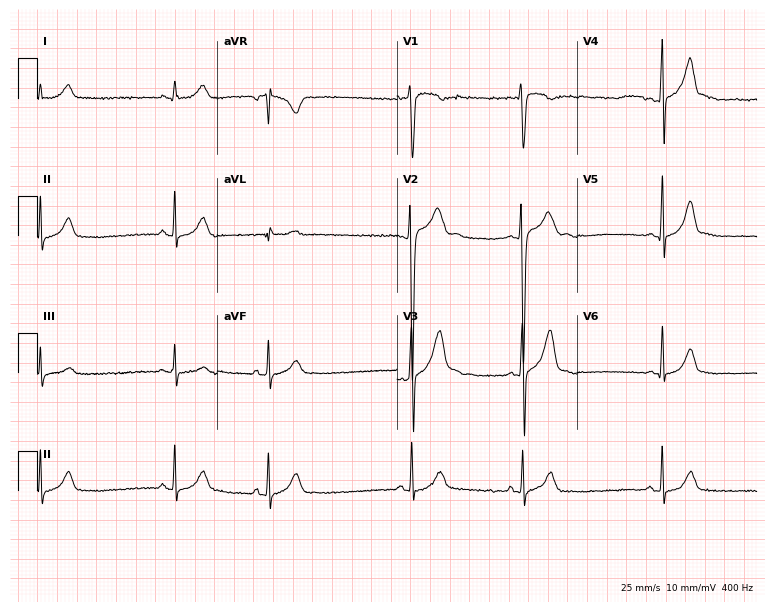
Electrocardiogram (7.3-second recording at 400 Hz), a male, 20 years old. Overall reading on record: normal ECG.